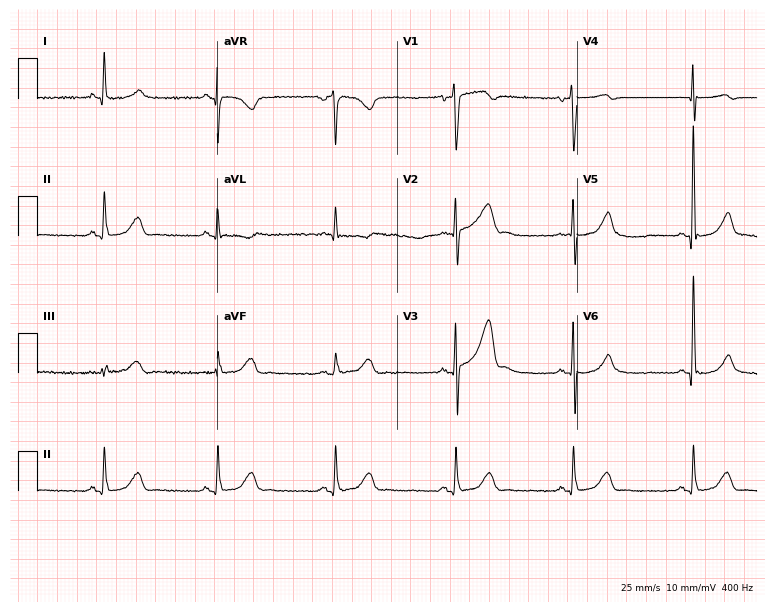
12-lead ECG from a female, 70 years old. Labelled as a normal ECG.